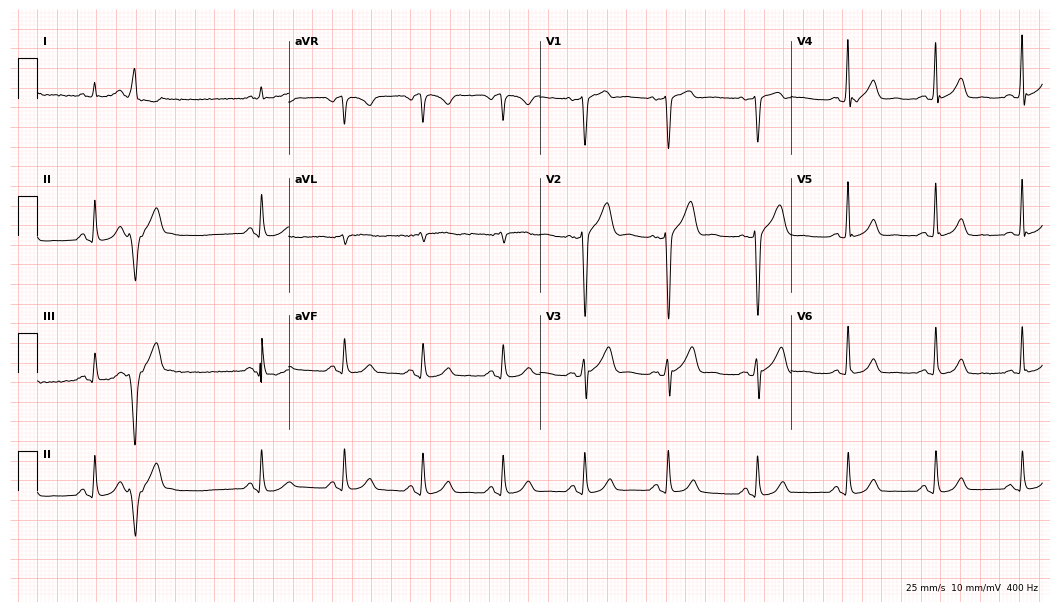
12-lead ECG from a 56-year-old man. Screened for six findings — first-degree AV block, right bundle branch block, left bundle branch block, sinus bradycardia, atrial fibrillation, sinus tachycardia — none is recorded. Only these six findings were labelled.